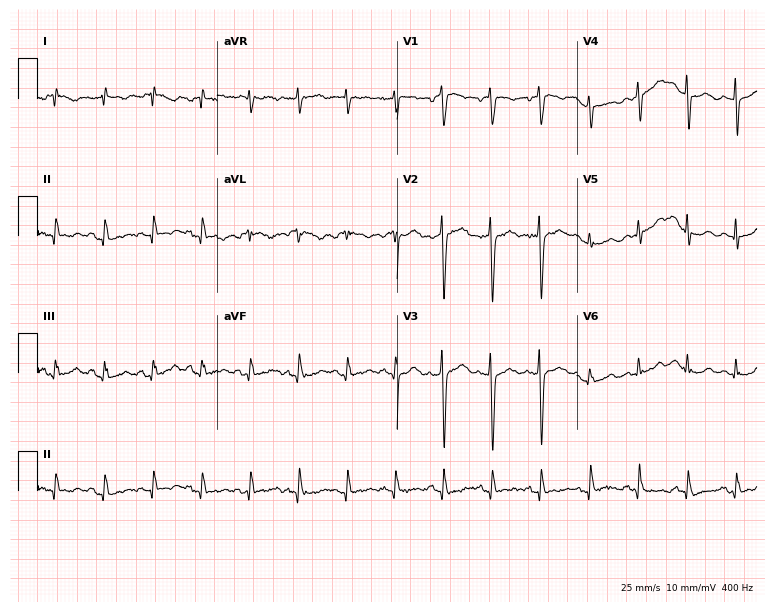
Standard 12-lead ECG recorded from a 36-year-old female. None of these six findings is recorded: first-degree AV block, right bundle branch block, left bundle branch block, sinus bradycardia, atrial fibrillation, sinus tachycardia.